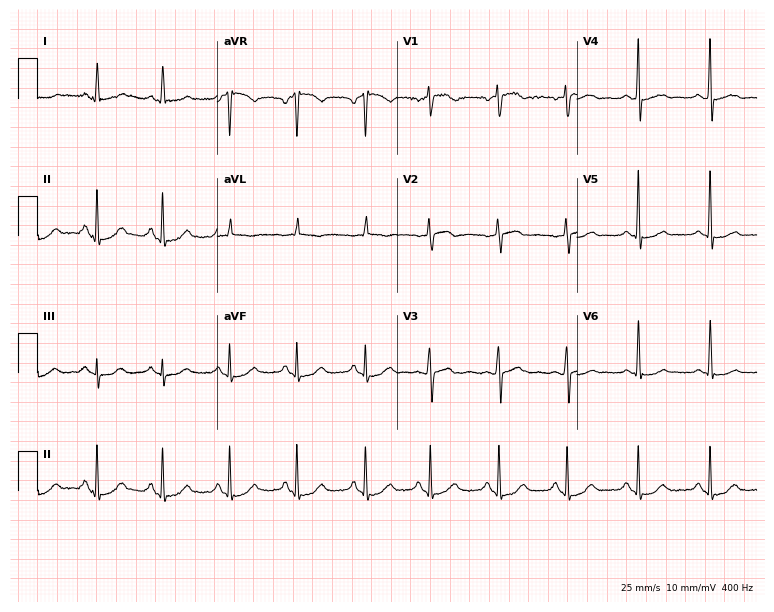
Resting 12-lead electrocardiogram. Patient: a female, 59 years old. None of these six findings is recorded: first-degree AV block, right bundle branch block, left bundle branch block, sinus bradycardia, atrial fibrillation, sinus tachycardia.